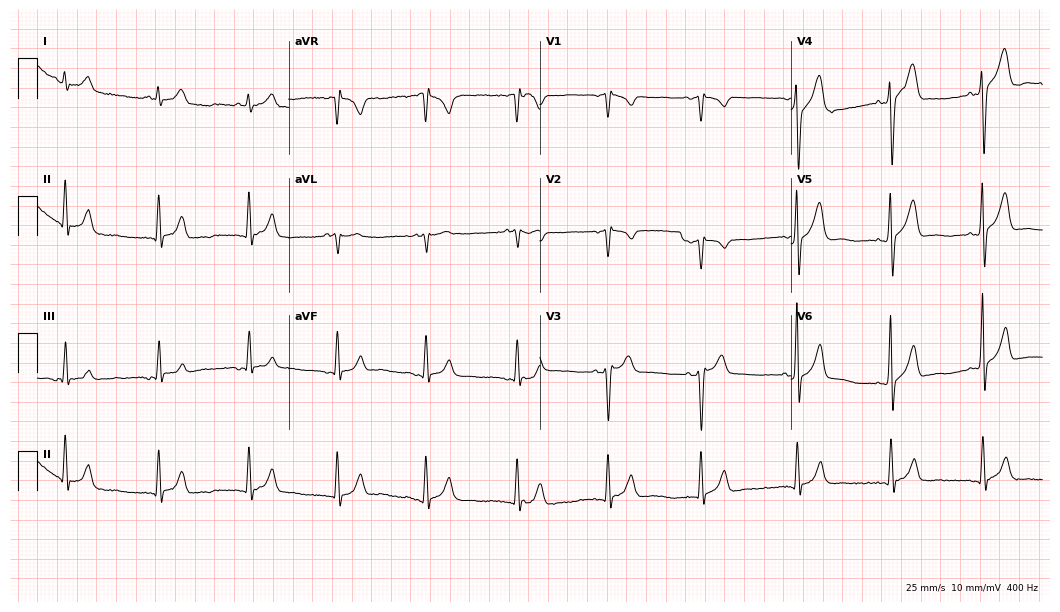
Resting 12-lead electrocardiogram (10.2-second recording at 400 Hz). Patient: an 81-year-old male. Read as a normal ECG.